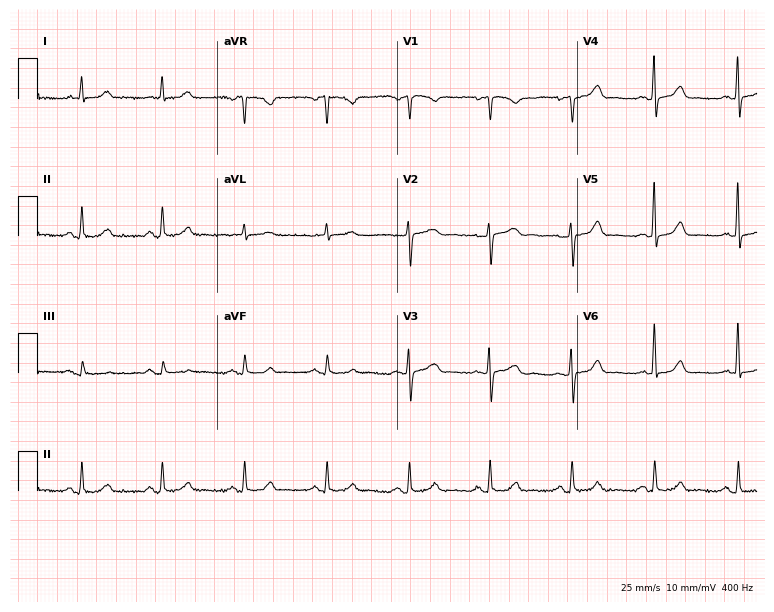
12-lead ECG (7.3-second recording at 400 Hz) from a 74-year-old woman. Labelled as a normal ECG.